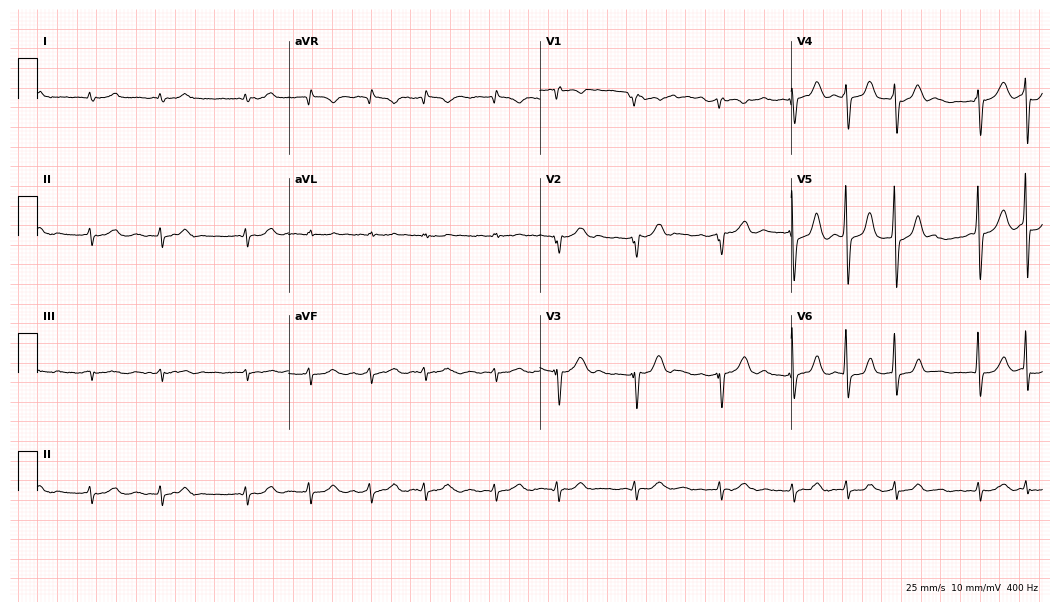
Resting 12-lead electrocardiogram. Patient: a 78-year-old male. The tracing shows atrial fibrillation (AF).